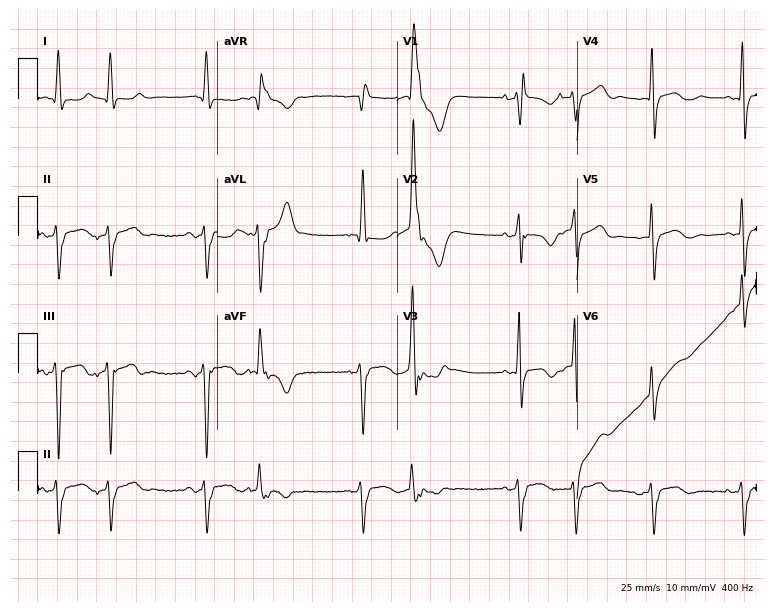
ECG — a female, 76 years old. Findings include right bundle branch block.